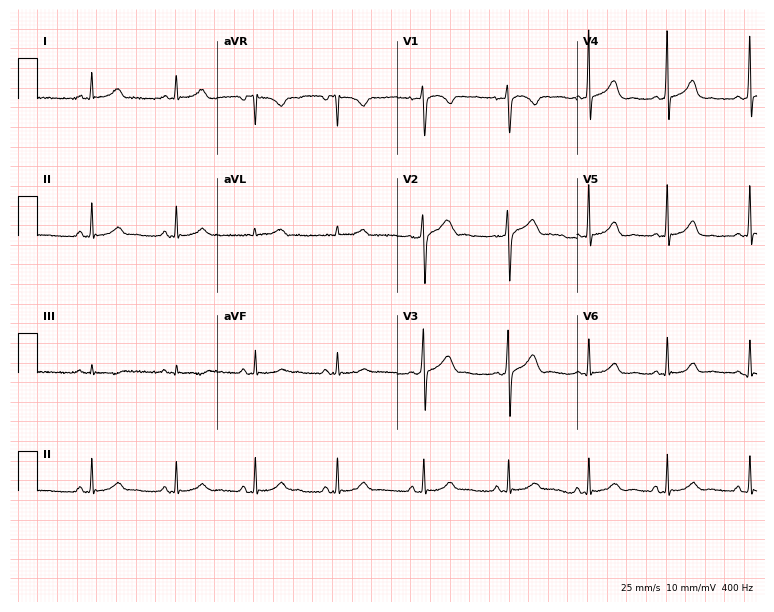
12-lead ECG from a woman, 31 years old. Labelled as a normal ECG.